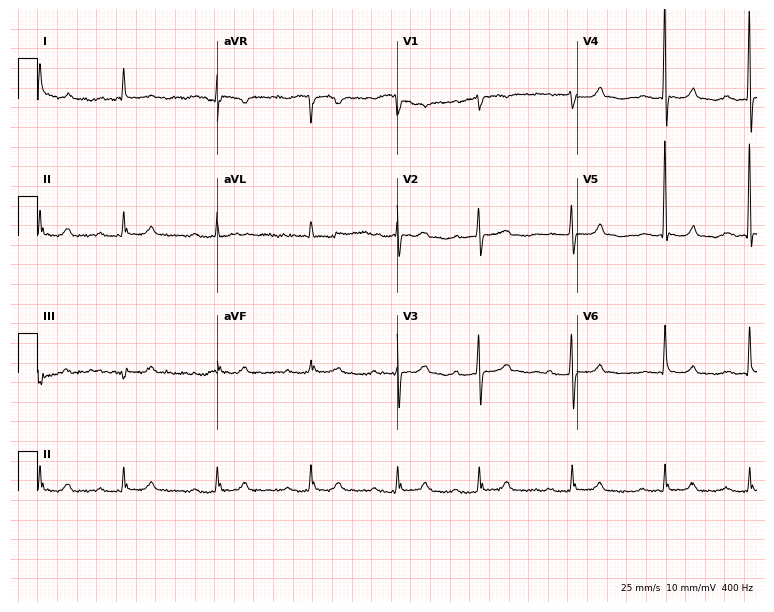
12-lead ECG (7.3-second recording at 400 Hz) from an 82-year-old female patient. Screened for six findings — first-degree AV block, right bundle branch block, left bundle branch block, sinus bradycardia, atrial fibrillation, sinus tachycardia — none is recorded.